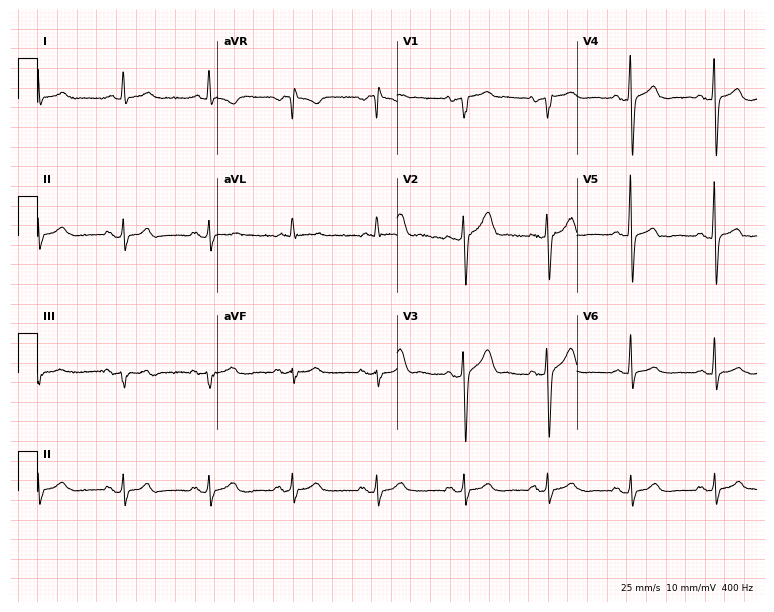
12-lead ECG from a 71-year-old male patient. Screened for six findings — first-degree AV block, right bundle branch block, left bundle branch block, sinus bradycardia, atrial fibrillation, sinus tachycardia — none is recorded. Only these six findings were labelled.